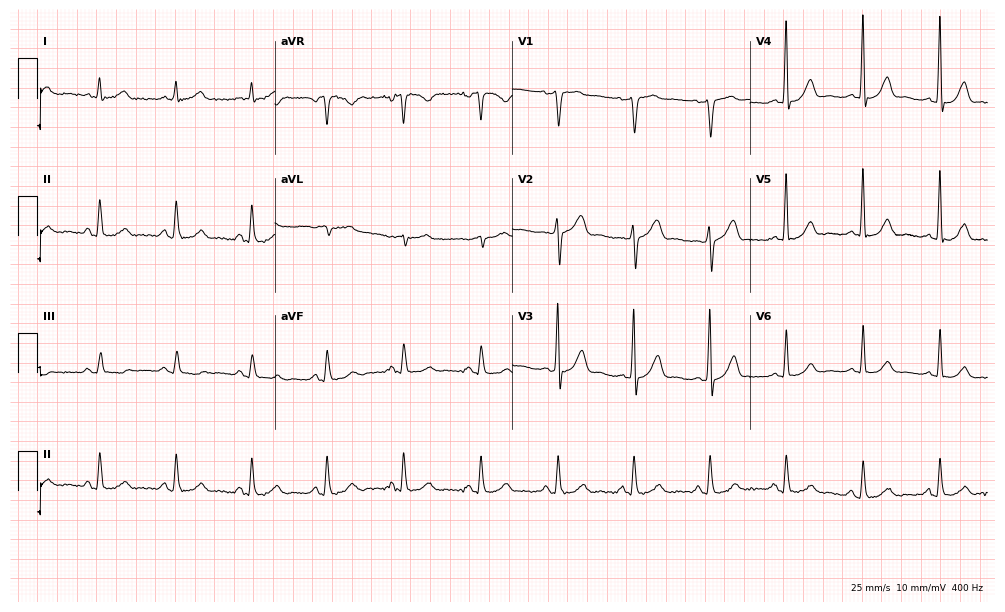
ECG (9.7-second recording at 400 Hz) — a 59-year-old man. Screened for six findings — first-degree AV block, right bundle branch block (RBBB), left bundle branch block (LBBB), sinus bradycardia, atrial fibrillation (AF), sinus tachycardia — none is recorded.